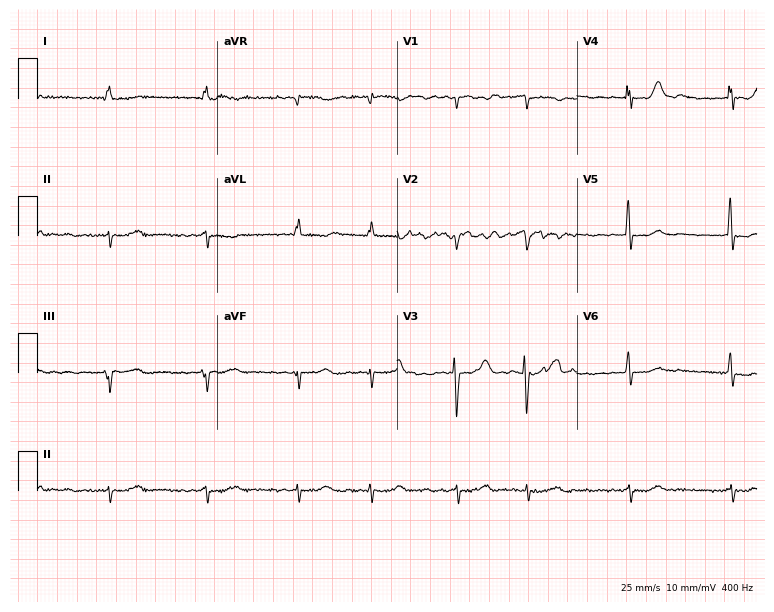
ECG — an 80-year-old female. Findings include atrial fibrillation.